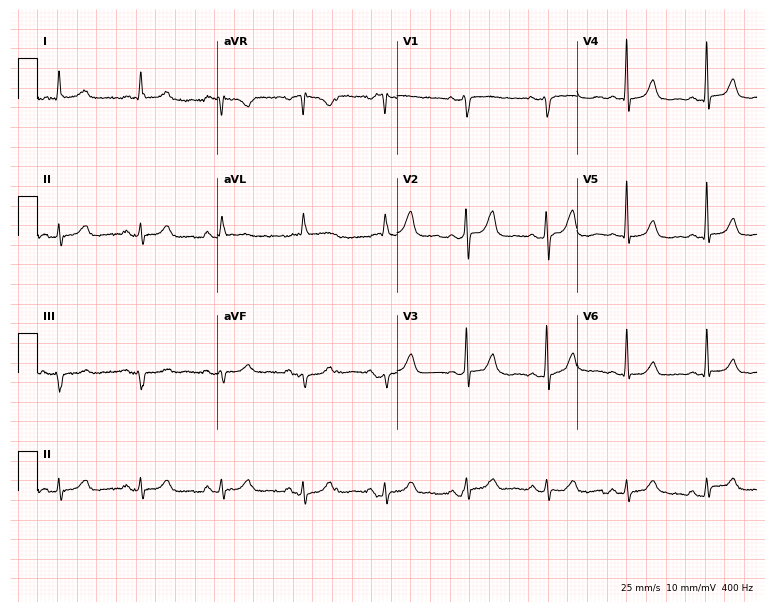
Standard 12-lead ECG recorded from a female patient, 82 years old. None of these six findings is recorded: first-degree AV block, right bundle branch block, left bundle branch block, sinus bradycardia, atrial fibrillation, sinus tachycardia.